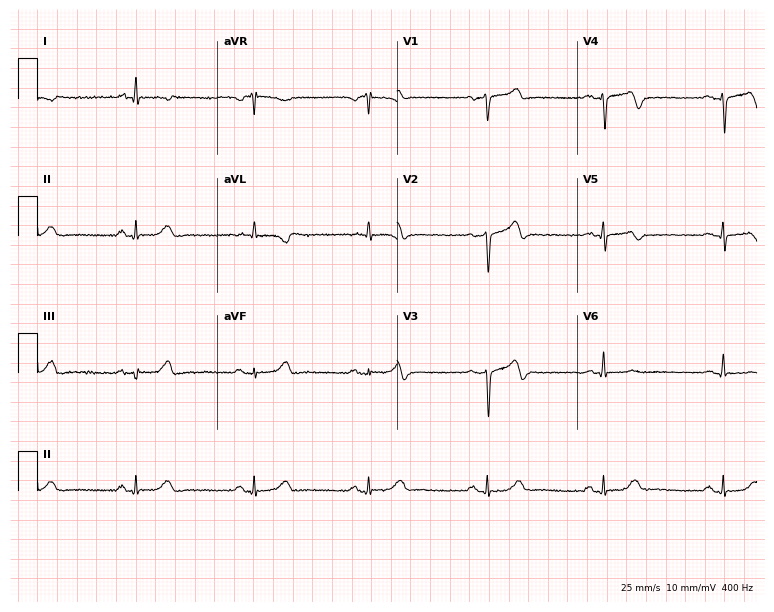
ECG (7.3-second recording at 400 Hz) — a 74-year-old woman. Screened for six findings — first-degree AV block, right bundle branch block, left bundle branch block, sinus bradycardia, atrial fibrillation, sinus tachycardia — none is recorded.